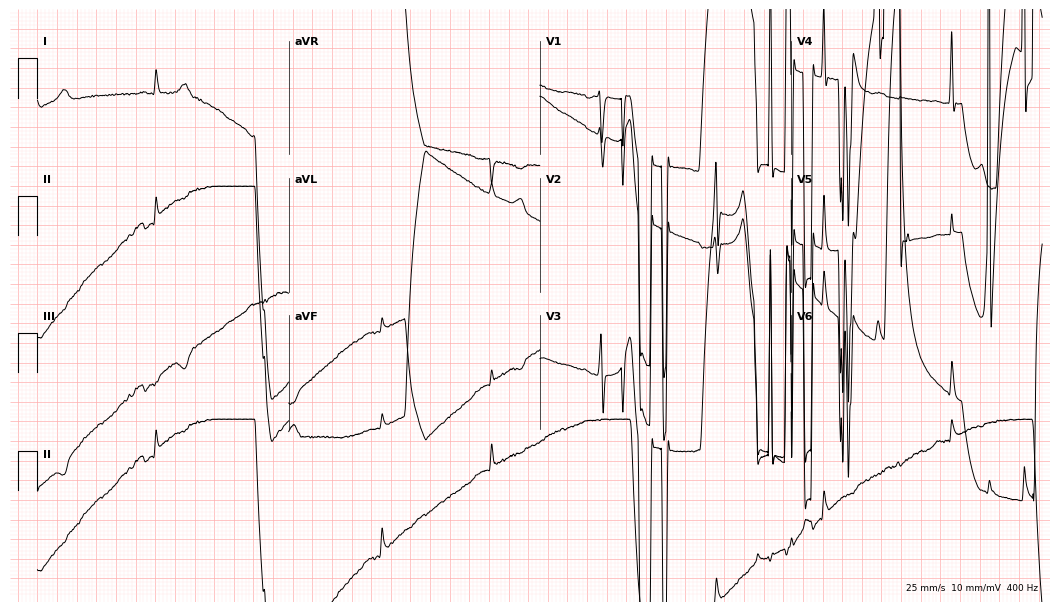
12-lead ECG from a 79-year-old man. No first-degree AV block, right bundle branch block, left bundle branch block, sinus bradycardia, atrial fibrillation or sinus tachycardia recorded for this tracing.